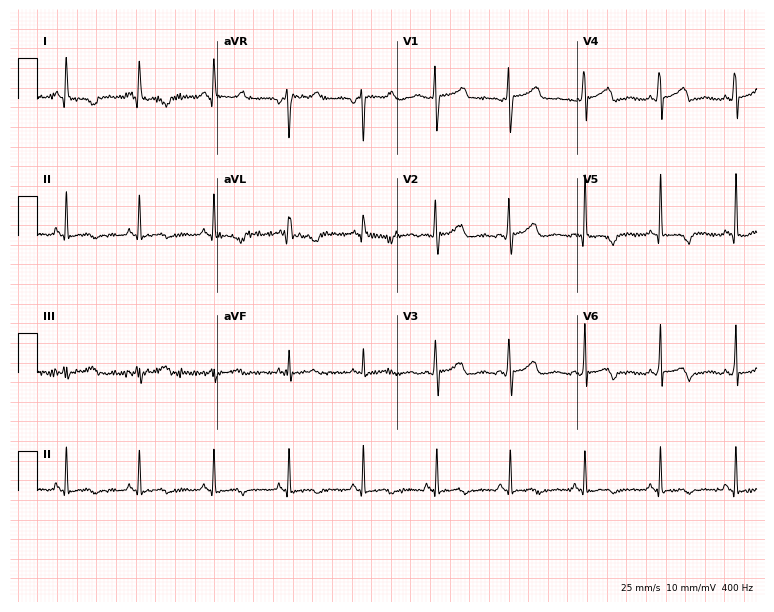
Resting 12-lead electrocardiogram (7.3-second recording at 400 Hz). Patient: a 41-year-old female. None of these six findings is recorded: first-degree AV block, right bundle branch block, left bundle branch block, sinus bradycardia, atrial fibrillation, sinus tachycardia. Only these six findings were labelled.